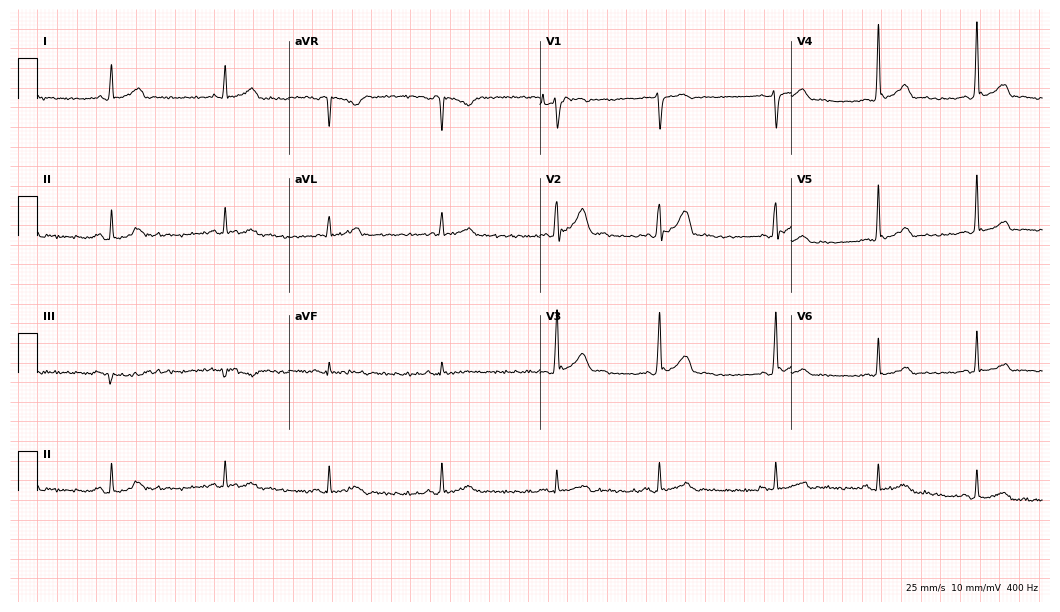
12-lead ECG from a 24-year-old male. Recorded interpretation: within normal limits.